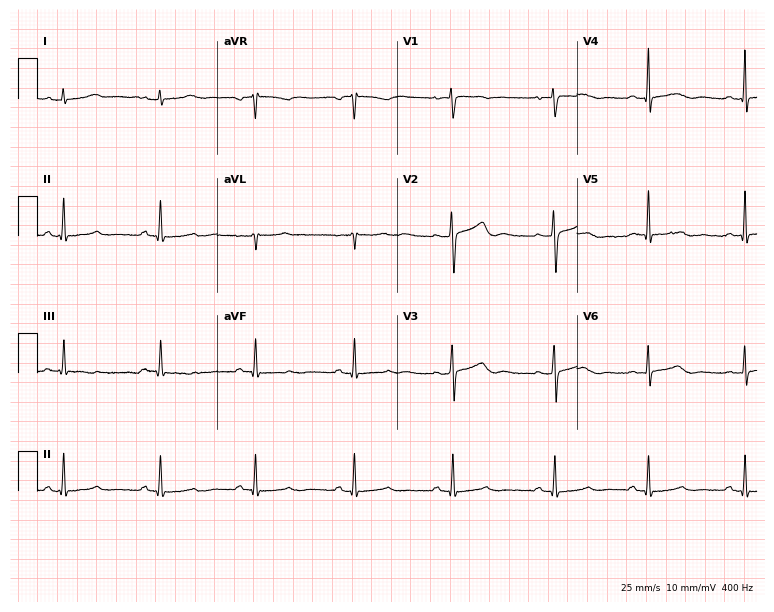
Standard 12-lead ECG recorded from a woman, 48 years old (7.3-second recording at 400 Hz). None of these six findings is recorded: first-degree AV block, right bundle branch block (RBBB), left bundle branch block (LBBB), sinus bradycardia, atrial fibrillation (AF), sinus tachycardia.